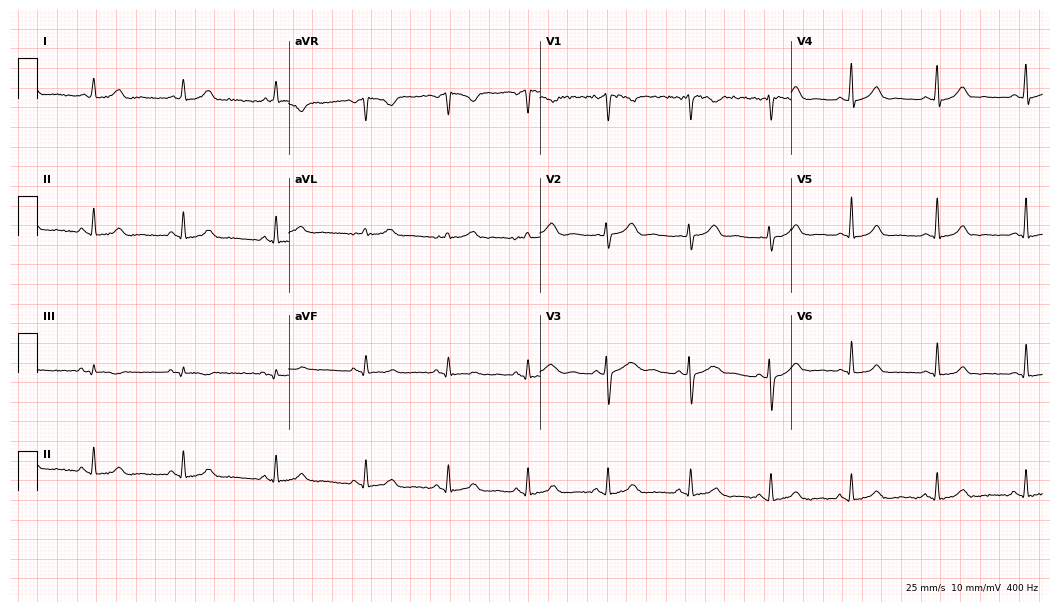
12-lead ECG from a woman, 33 years old. No first-degree AV block, right bundle branch block, left bundle branch block, sinus bradycardia, atrial fibrillation or sinus tachycardia recorded for this tracing. Other findings, if any, are not listed.